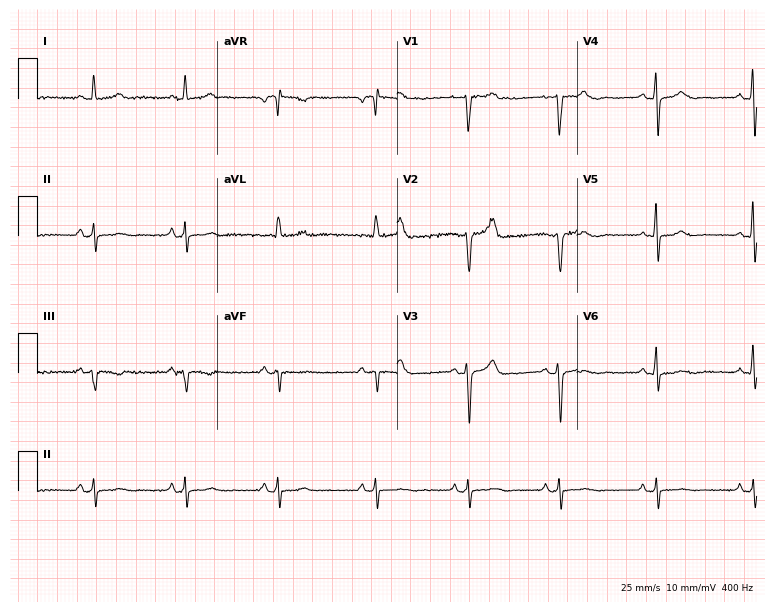
12-lead ECG from a female, 55 years old. Screened for six findings — first-degree AV block, right bundle branch block, left bundle branch block, sinus bradycardia, atrial fibrillation, sinus tachycardia — none is recorded.